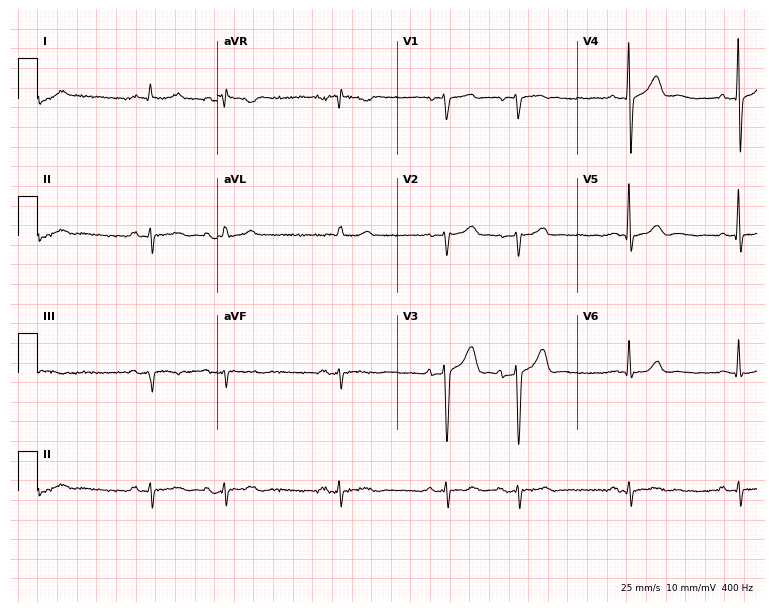
Standard 12-lead ECG recorded from a male, 75 years old (7.3-second recording at 400 Hz). None of these six findings is recorded: first-degree AV block, right bundle branch block (RBBB), left bundle branch block (LBBB), sinus bradycardia, atrial fibrillation (AF), sinus tachycardia.